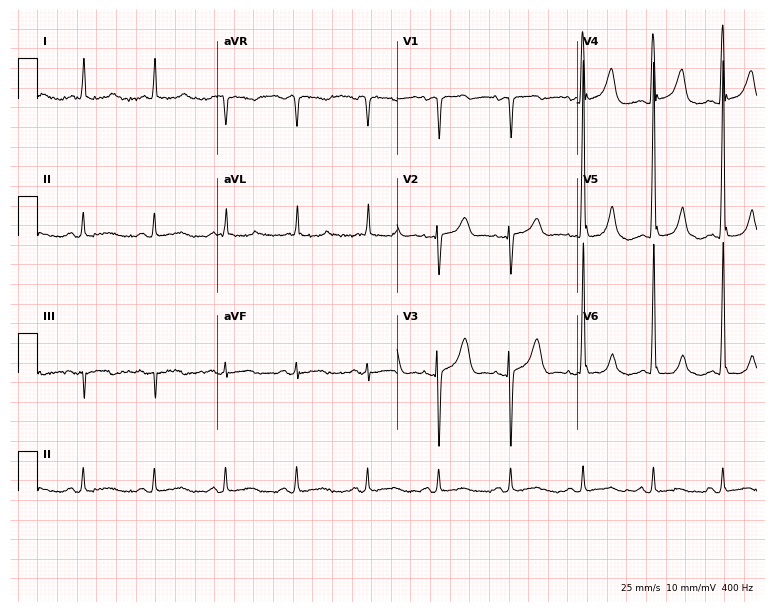
12-lead ECG from a 56-year-old male patient. No first-degree AV block, right bundle branch block (RBBB), left bundle branch block (LBBB), sinus bradycardia, atrial fibrillation (AF) or sinus tachycardia recorded for this tracing.